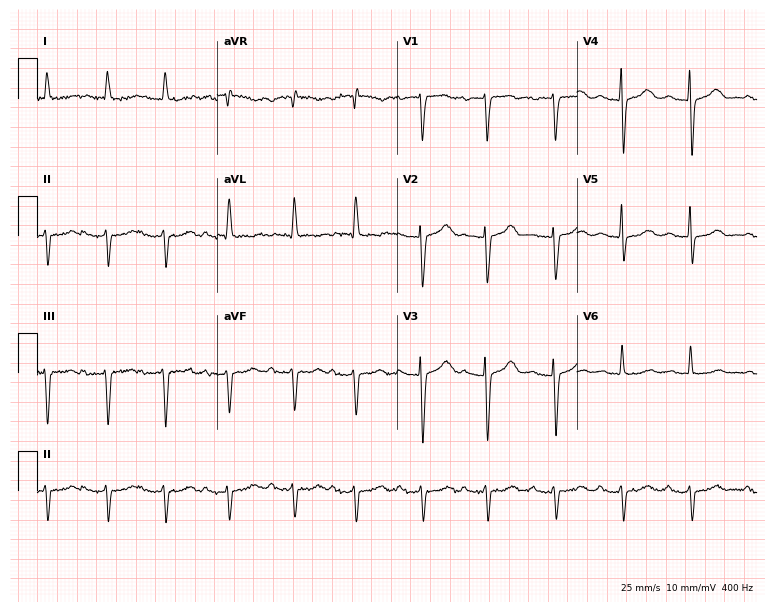
Electrocardiogram, an 85-year-old female. Of the six screened findings (first-degree AV block, right bundle branch block, left bundle branch block, sinus bradycardia, atrial fibrillation, sinus tachycardia), none is recorded. Findings outside these six are not listed.